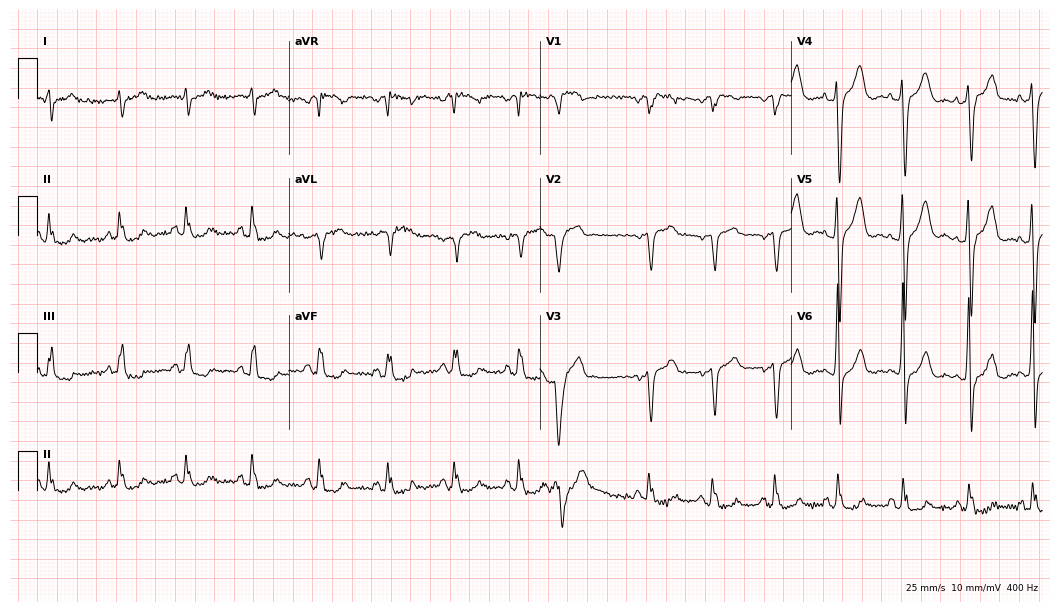
Electrocardiogram, a male patient, 49 years old. Of the six screened findings (first-degree AV block, right bundle branch block (RBBB), left bundle branch block (LBBB), sinus bradycardia, atrial fibrillation (AF), sinus tachycardia), none is recorded. Only these six findings were labelled.